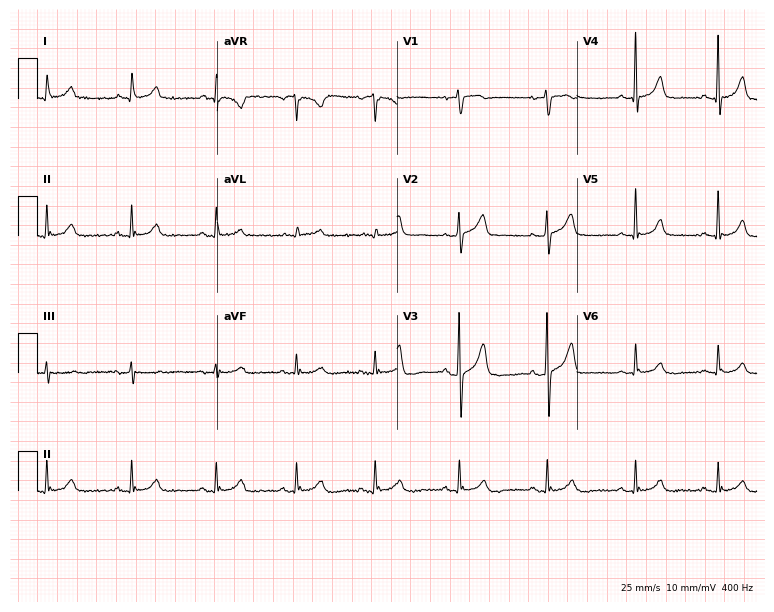
Resting 12-lead electrocardiogram. Patient: a female, 71 years old. None of these six findings is recorded: first-degree AV block, right bundle branch block, left bundle branch block, sinus bradycardia, atrial fibrillation, sinus tachycardia.